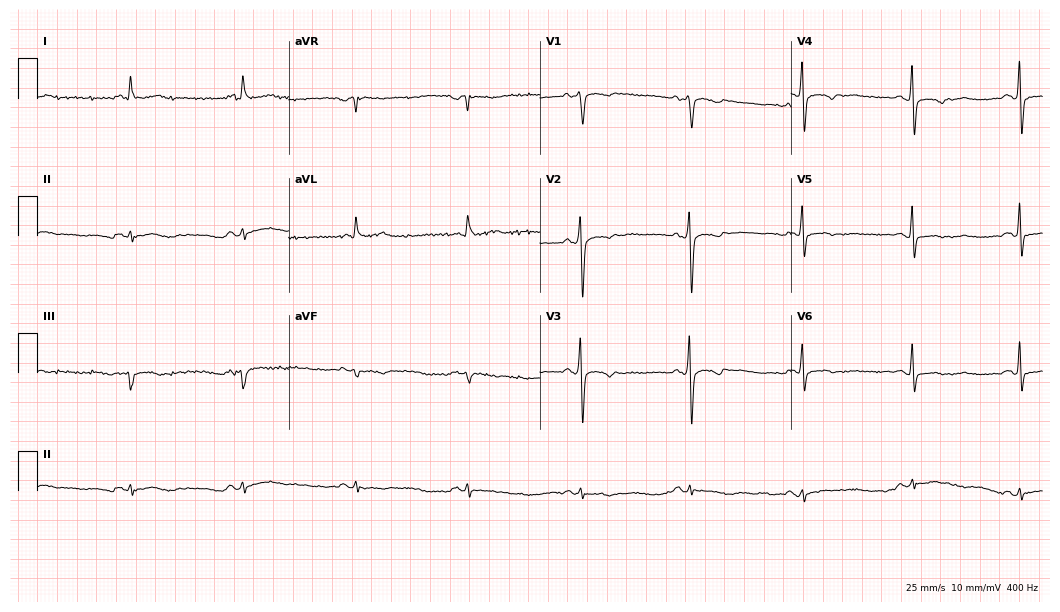
Resting 12-lead electrocardiogram. Patient: a female, 74 years old. None of these six findings is recorded: first-degree AV block, right bundle branch block, left bundle branch block, sinus bradycardia, atrial fibrillation, sinus tachycardia.